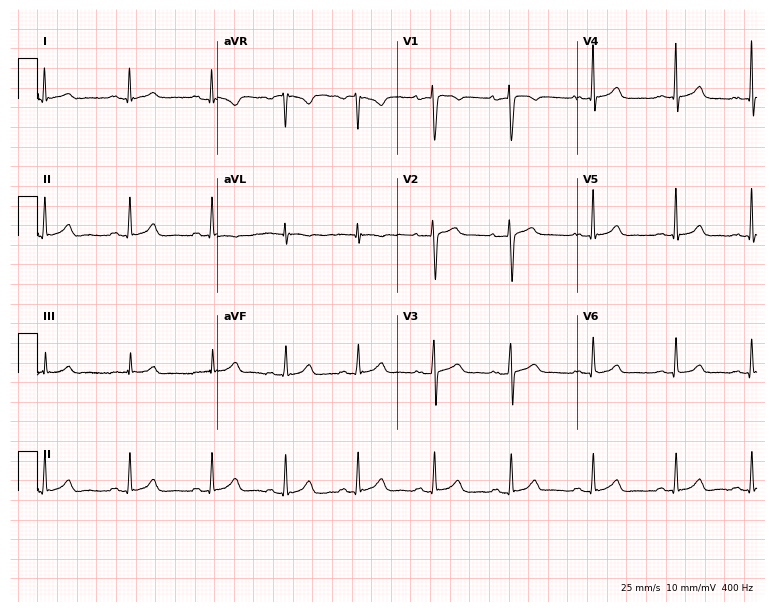
12-lead ECG from a 19-year-old female. Recorded interpretation: within normal limits.